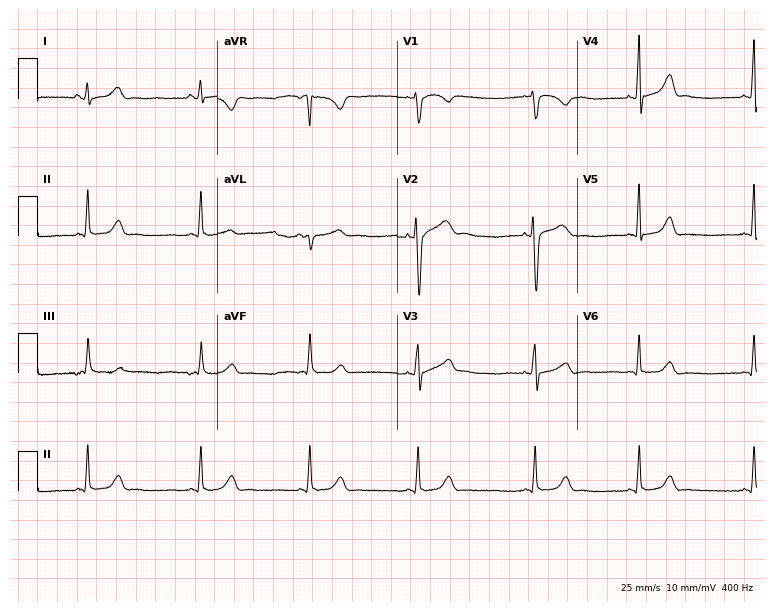
ECG — a 20-year-old female patient. Screened for six findings — first-degree AV block, right bundle branch block, left bundle branch block, sinus bradycardia, atrial fibrillation, sinus tachycardia — none is recorded.